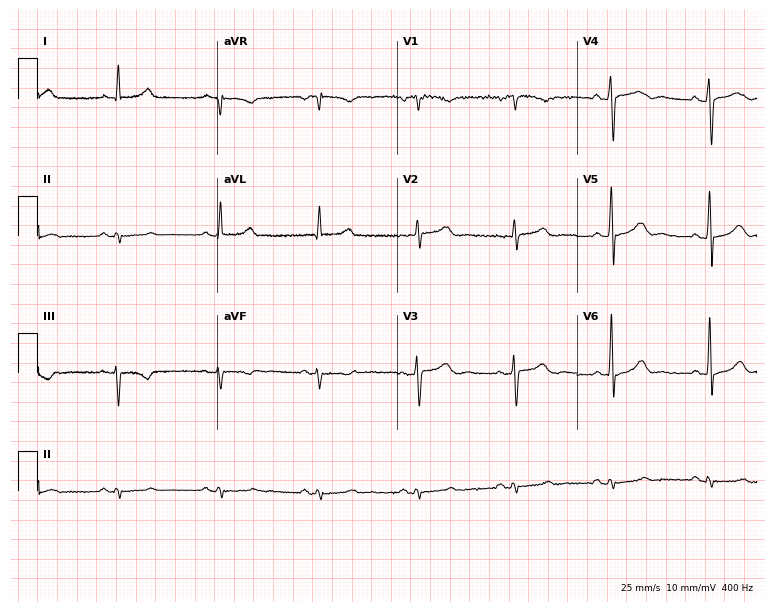
Standard 12-lead ECG recorded from a 58-year-old male patient (7.3-second recording at 400 Hz). None of these six findings is recorded: first-degree AV block, right bundle branch block (RBBB), left bundle branch block (LBBB), sinus bradycardia, atrial fibrillation (AF), sinus tachycardia.